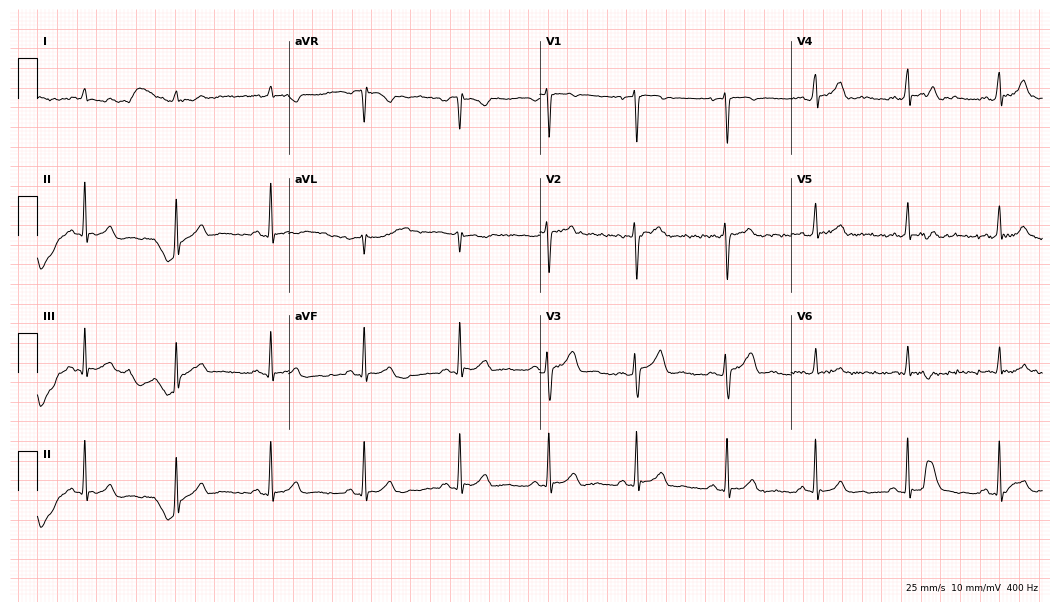
Resting 12-lead electrocardiogram. Patient: a man, 24 years old. Read as a normal ECG.